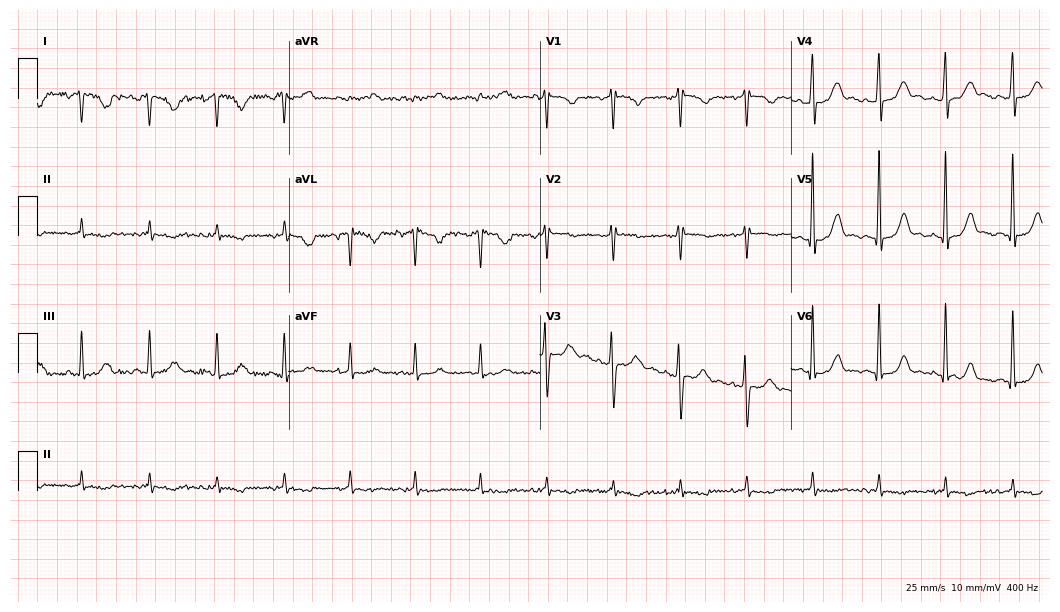
12-lead ECG (10.2-second recording at 400 Hz) from a 36-year-old female. Screened for six findings — first-degree AV block, right bundle branch block, left bundle branch block, sinus bradycardia, atrial fibrillation, sinus tachycardia — none is recorded.